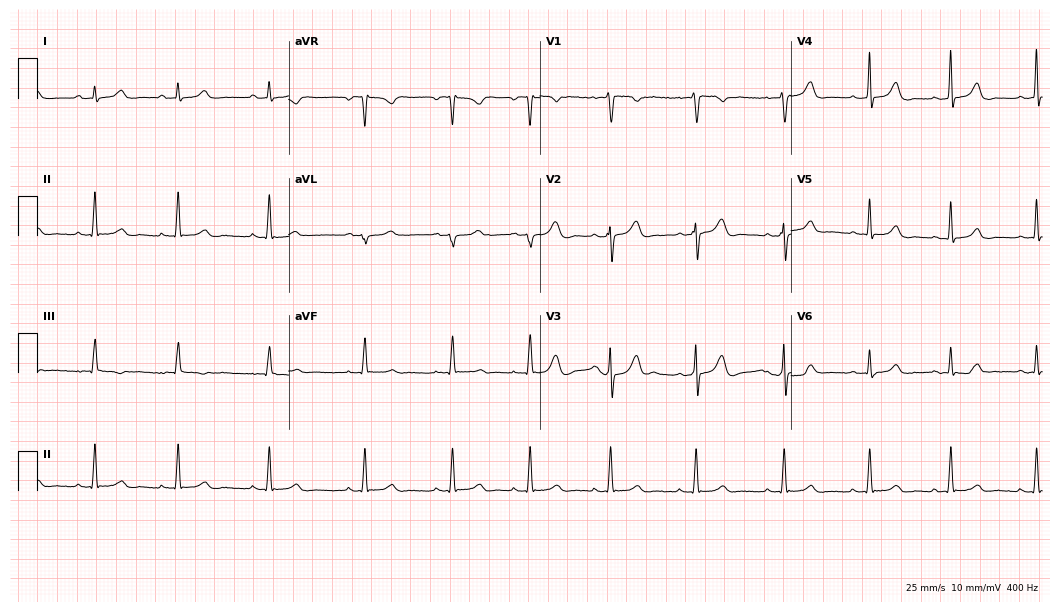
12-lead ECG (10.2-second recording at 400 Hz) from a woman, 17 years old. Labelled as a normal ECG.